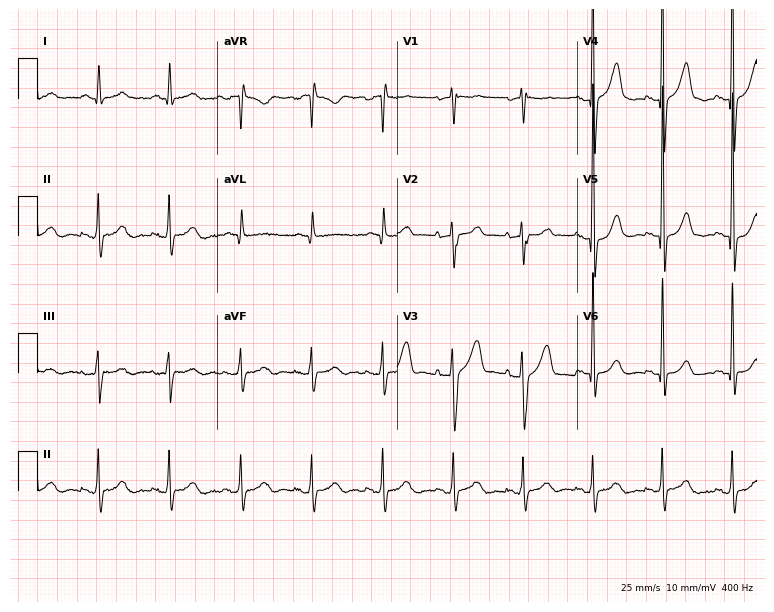
Standard 12-lead ECG recorded from a 59-year-old male. None of these six findings is recorded: first-degree AV block, right bundle branch block, left bundle branch block, sinus bradycardia, atrial fibrillation, sinus tachycardia.